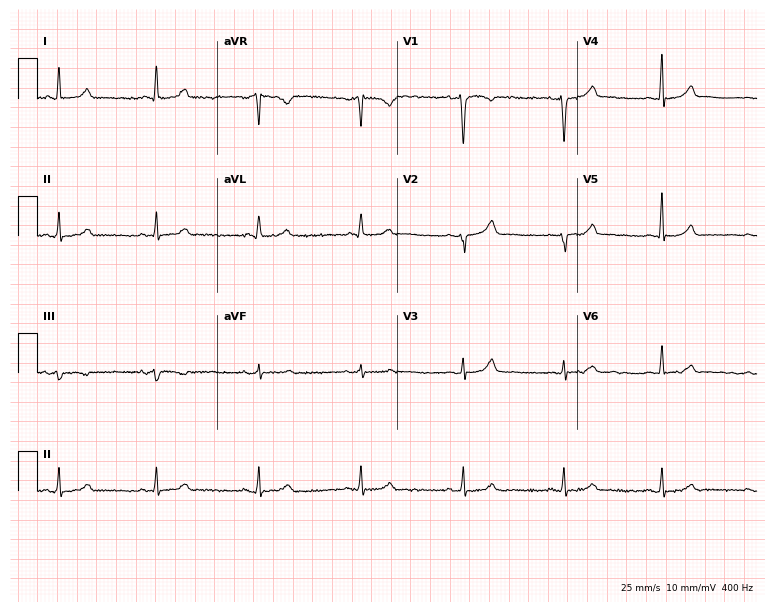
12-lead ECG from a 36-year-old female (7.3-second recording at 400 Hz). No first-degree AV block, right bundle branch block (RBBB), left bundle branch block (LBBB), sinus bradycardia, atrial fibrillation (AF) or sinus tachycardia recorded for this tracing. Other findings, if any, are not listed.